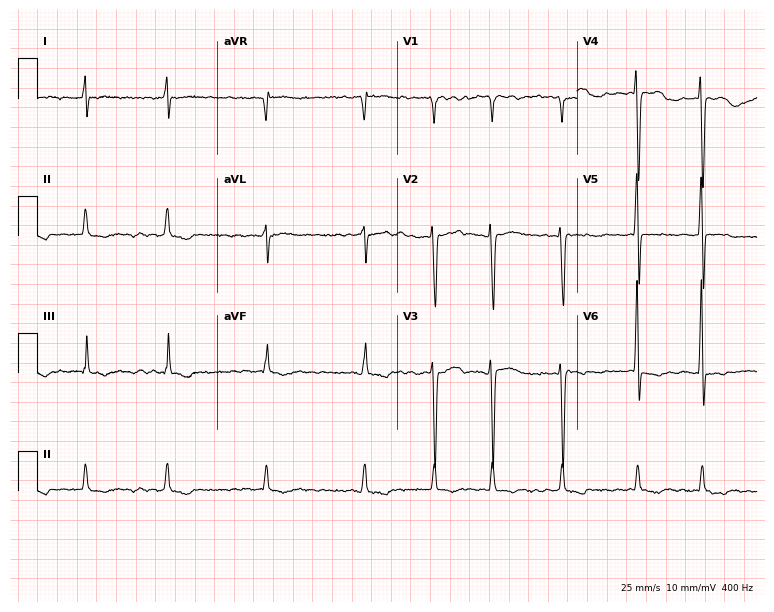
12-lead ECG from a woman, 30 years old. Shows atrial fibrillation (AF).